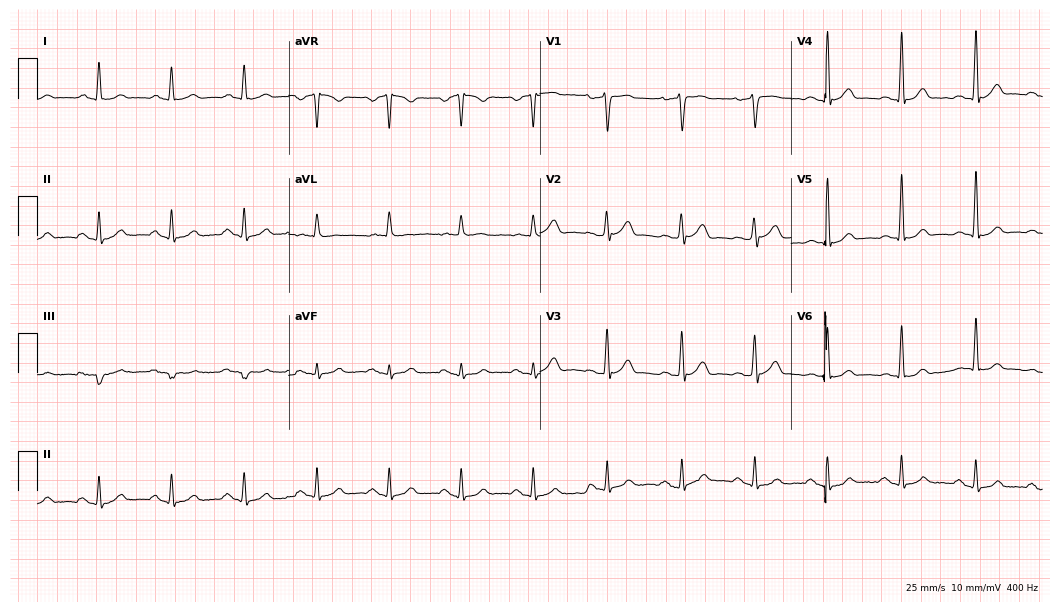
ECG (10.2-second recording at 400 Hz) — a 63-year-old man. Screened for six findings — first-degree AV block, right bundle branch block, left bundle branch block, sinus bradycardia, atrial fibrillation, sinus tachycardia — none is recorded. Only these six findings were labelled.